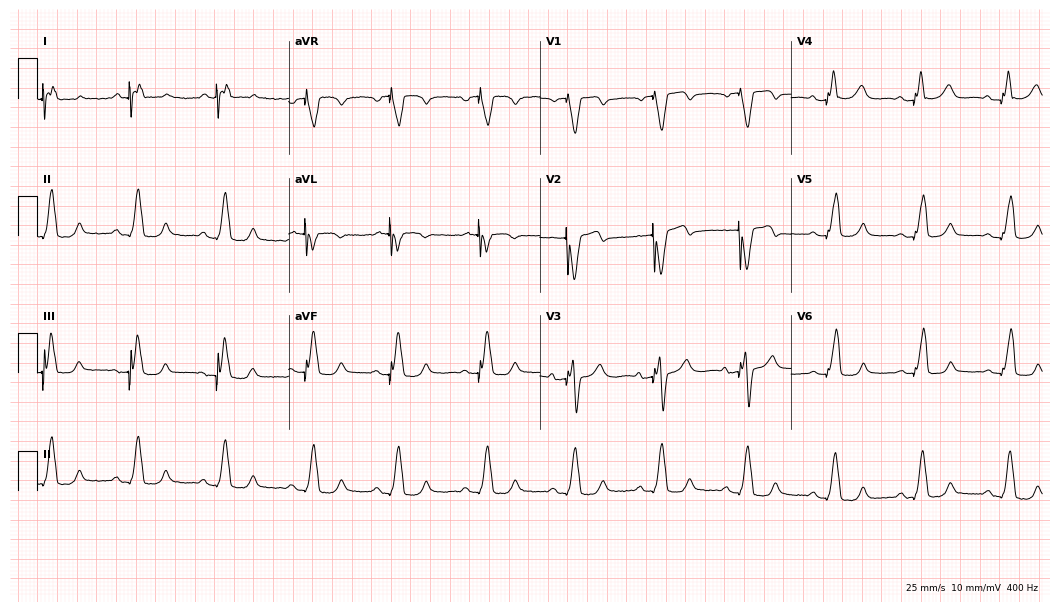
Resting 12-lead electrocardiogram (10.2-second recording at 400 Hz). Patient: a woman, 67 years old. None of these six findings is recorded: first-degree AV block, right bundle branch block, left bundle branch block, sinus bradycardia, atrial fibrillation, sinus tachycardia.